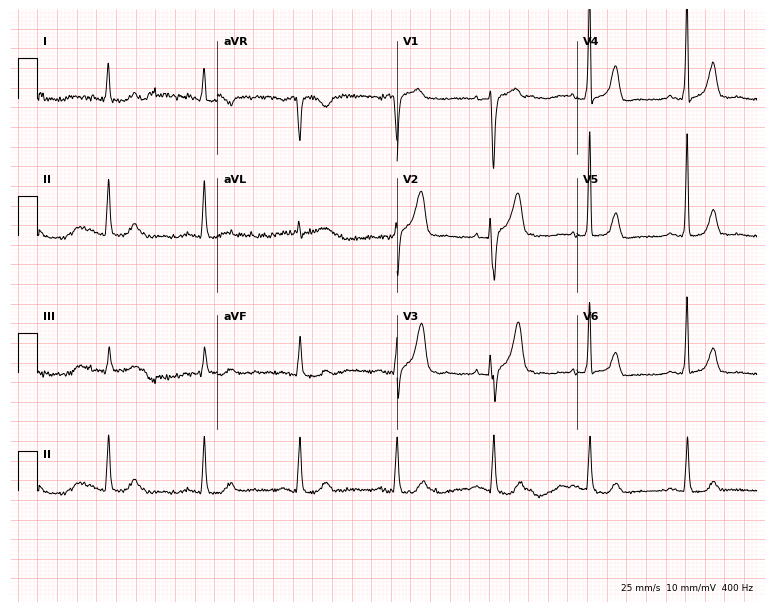
12-lead ECG (7.3-second recording at 400 Hz) from a 79-year-old man. Screened for six findings — first-degree AV block, right bundle branch block, left bundle branch block, sinus bradycardia, atrial fibrillation, sinus tachycardia — none is recorded. Only these six findings were labelled.